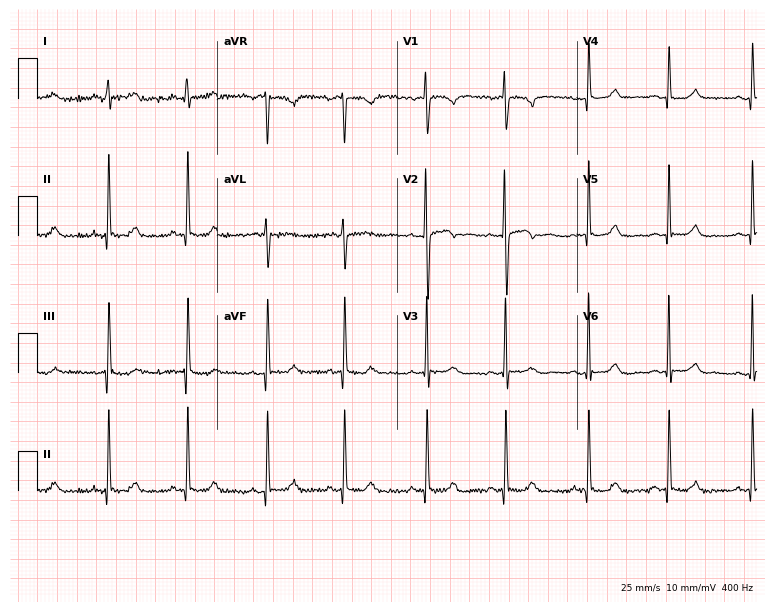
Resting 12-lead electrocardiogram (7.3-second recording at 400 Hz). Patient: a 24-year-old female. Read as a normal ECG.